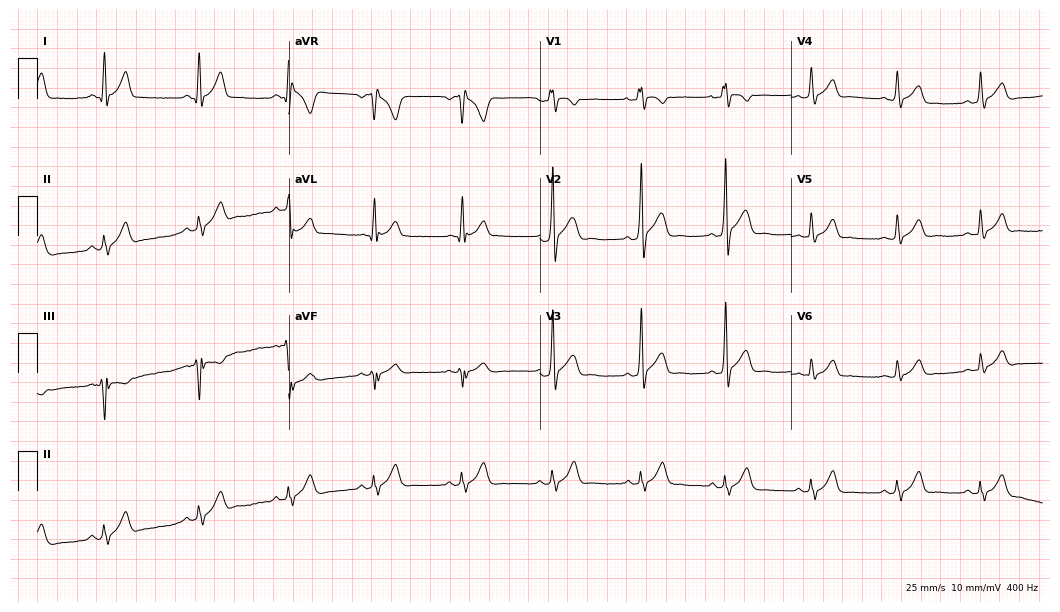
Resting 12-lead electrocardiogram (10.2-second recording at 400 Hz). Patient: a male, 25 years old. Read as a normal ECG.